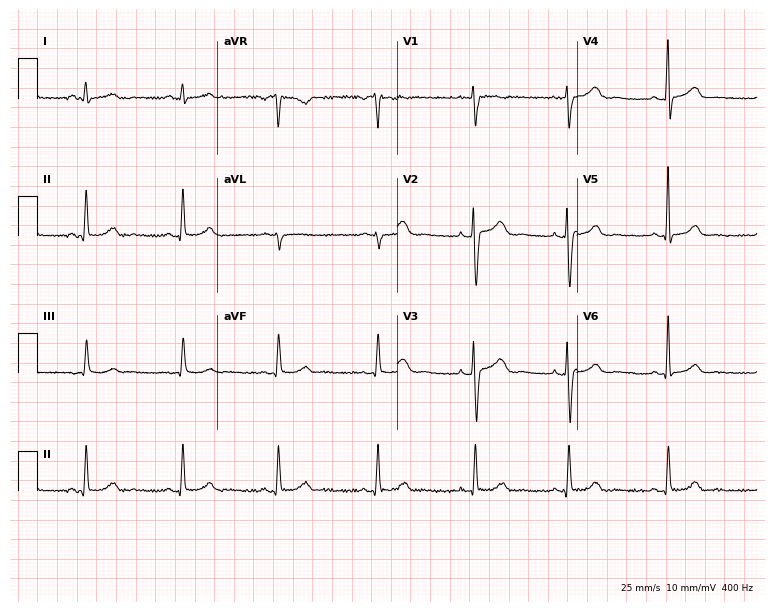
Electrocardiogram, a woman, 50 years old. Of the six screened findings (first-degree AV block, right bundle branch block (RBBB), left bundle branch block (LBBB), sinus bradycardia, atrial fibrillation (AF), sinus tachycardia), none is recorded. Only these six findings were labelled.